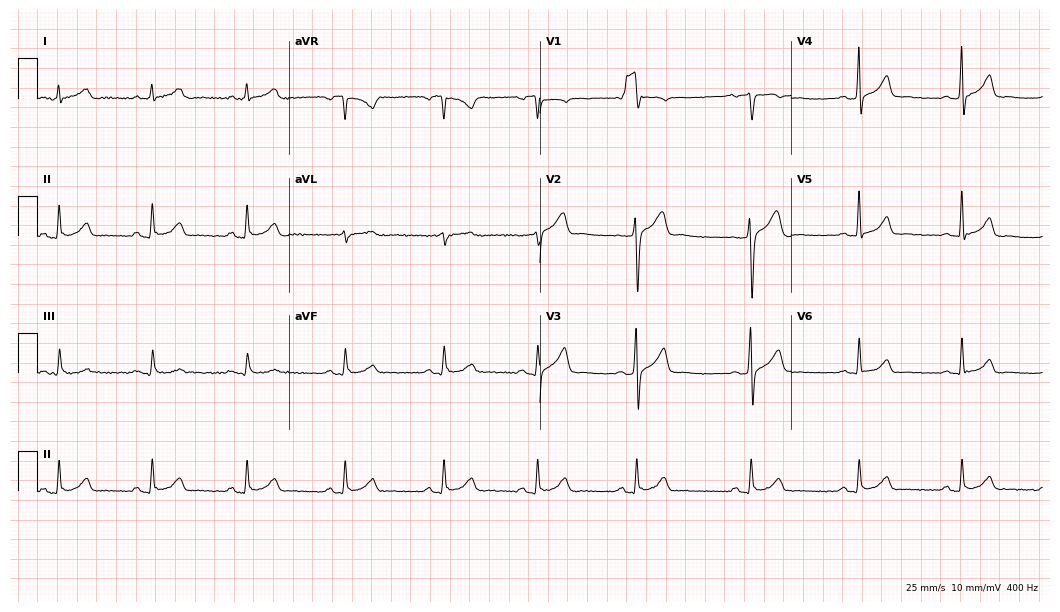
Standard 12-lead ECG recorded from a 34-year-old man. Read as a normal ECG.